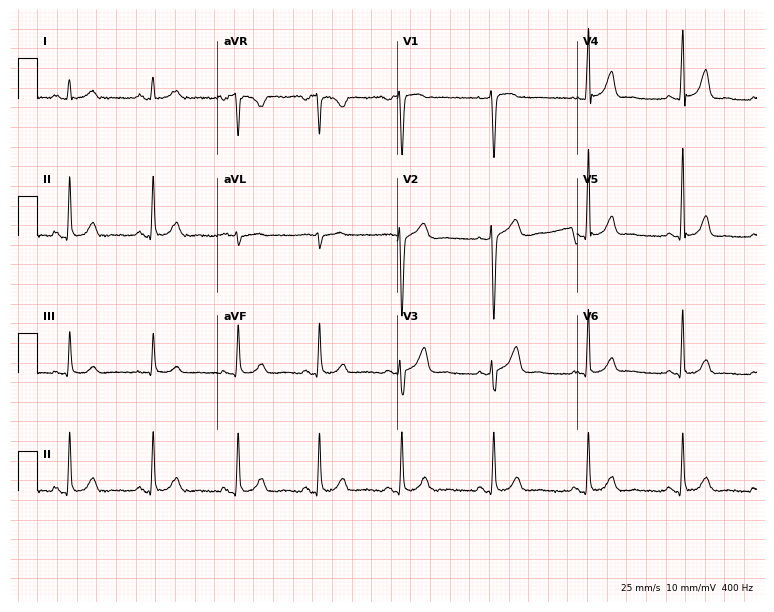
12-lead ECG from a female patient, 27 years old. Recorded interpretation: within normal limits.